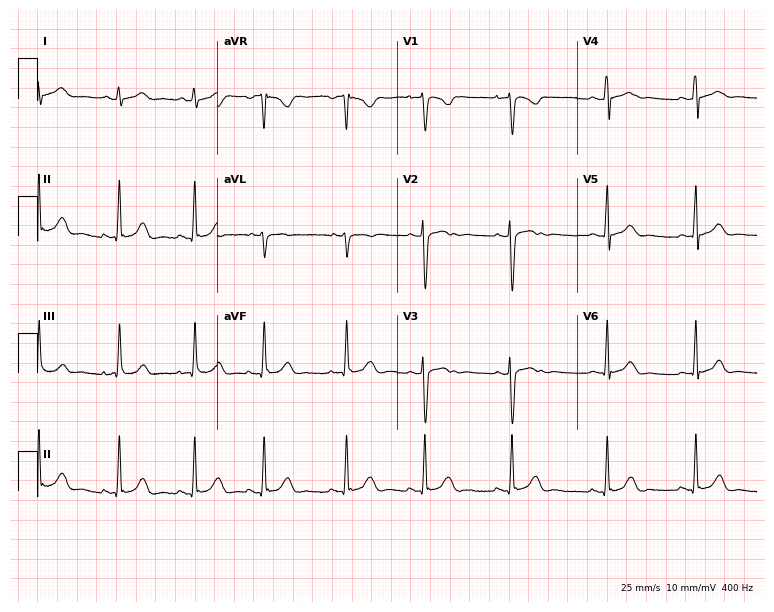
Resting 12-lead electrocardiogram (7.3-second recording at 400 Hz). Patient: a 21-year-old woman. Read as a normal ECG.